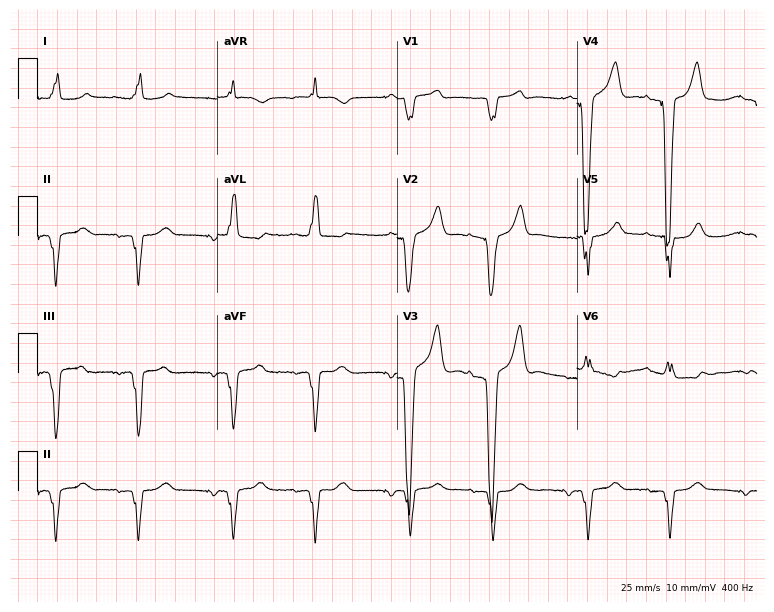
Resting 12-lead electrocardiogram (7.3-second recording at 400 Hz). Patient: an 83-year-old female. The tracing shows left bundle branch block.